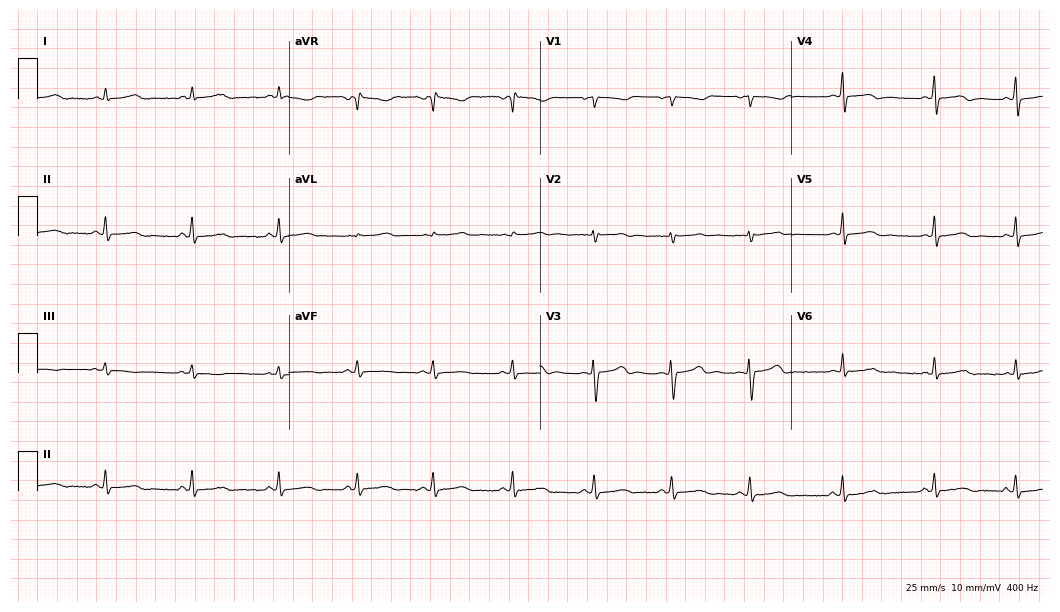
ECG — a 26-year-old female. Screened for six findings — first-degree AV block, right bundle branch block, left bundle branch block, sinus bradycardia, atrial fibrillation, sinus tachycardia — none is recorded. Other findings, if any, are not listed.